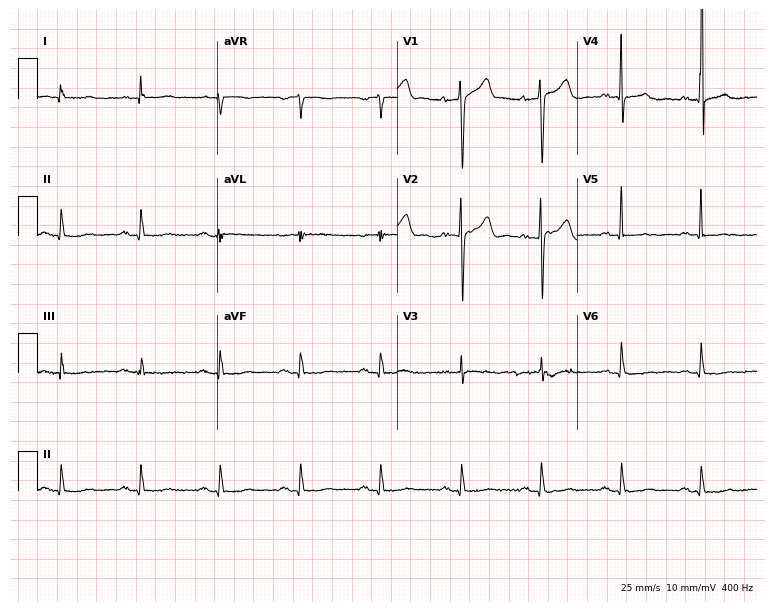
12-lead ECG from a 71-year-old male patient (7.3-second recording at 400 Hz). No first-degree AV block, right bundle branch block, left bundle branch block, sinus bradycardia, atrial fibrillation or sinus tachycardia recorded for this tracing. Other findings, if any, are not listed.